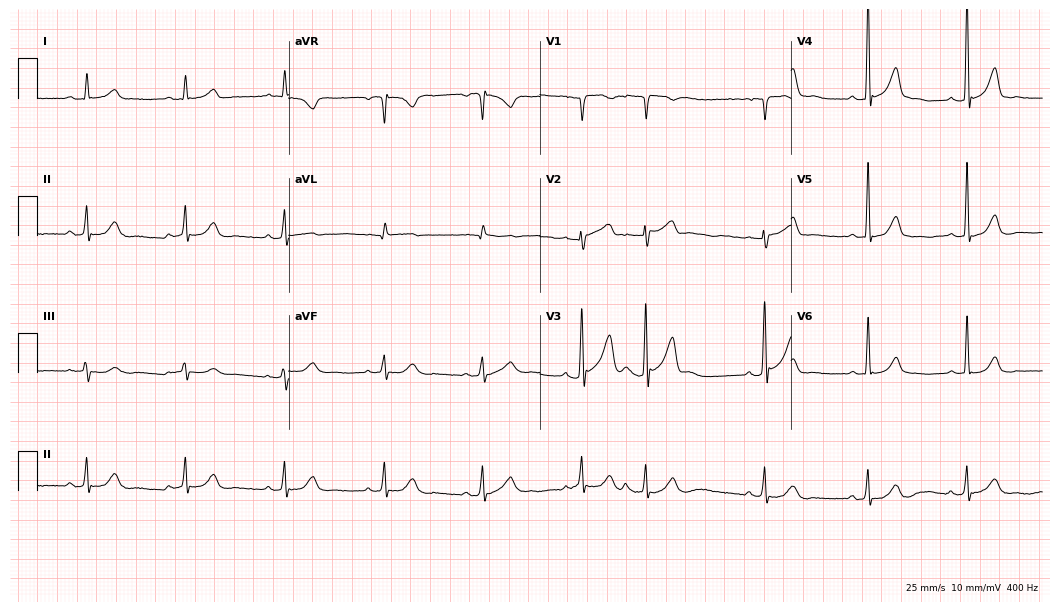
Resting 12-lead electrocardiogram (10.2-second recording at 400 Hz). Patient: a 69-year-old man. Read as a normal ECG.